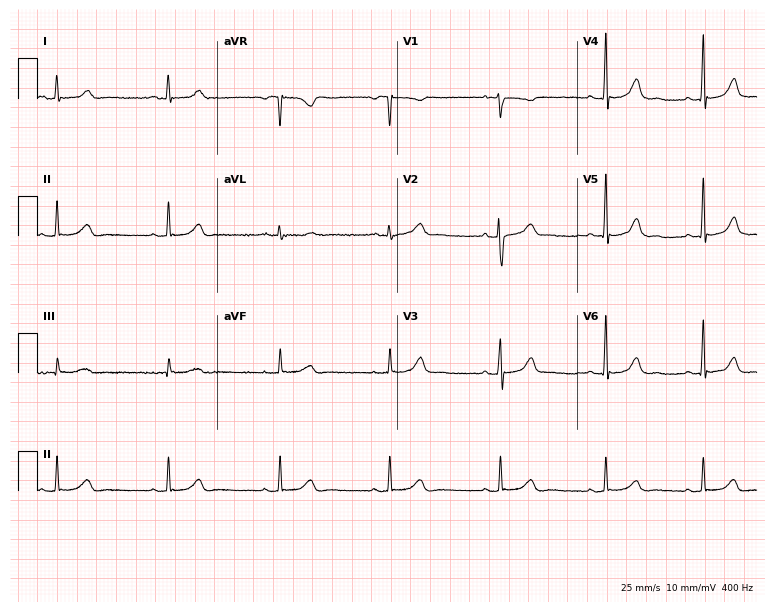
12-lead ECG from a 20-year-old female patient. Labelled as a normal ECG.